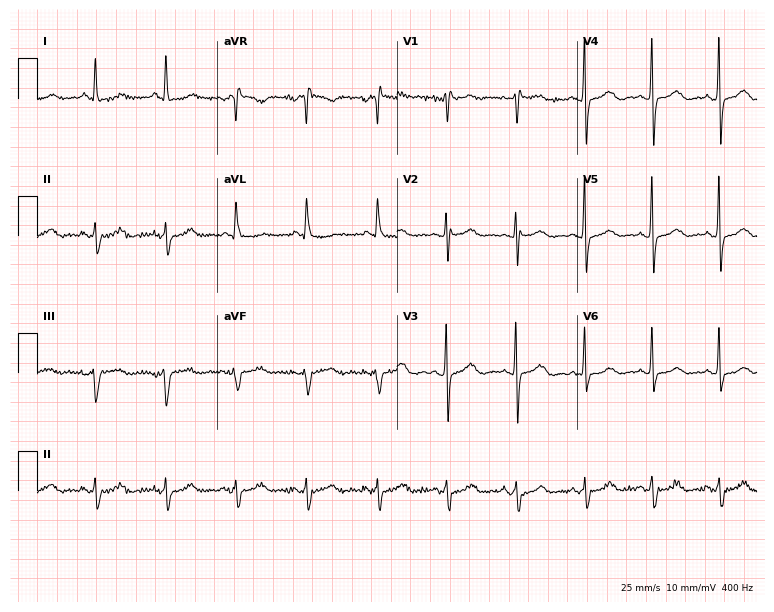
12-lead ECG from a 46-year-old female. Screened for six findings — first-degree AV block, right bundle branch block, left bundle branch block, sinus bradycardia, atrial fibrillation, sinus tachycardia — none is recorded. Other findings, if any, are not listed.